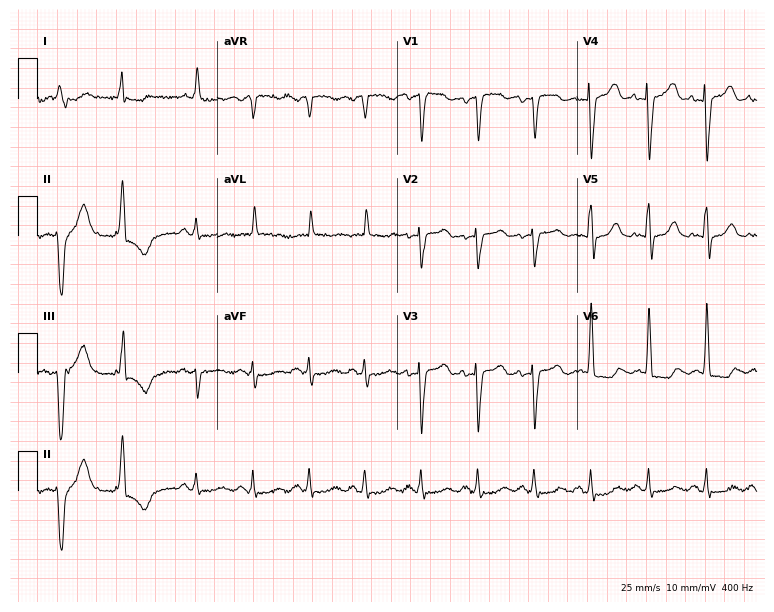
ECG — a 75-year-old woman. Findings include sinus tachycardia (a sinus rate of 100 beats per minute or more).